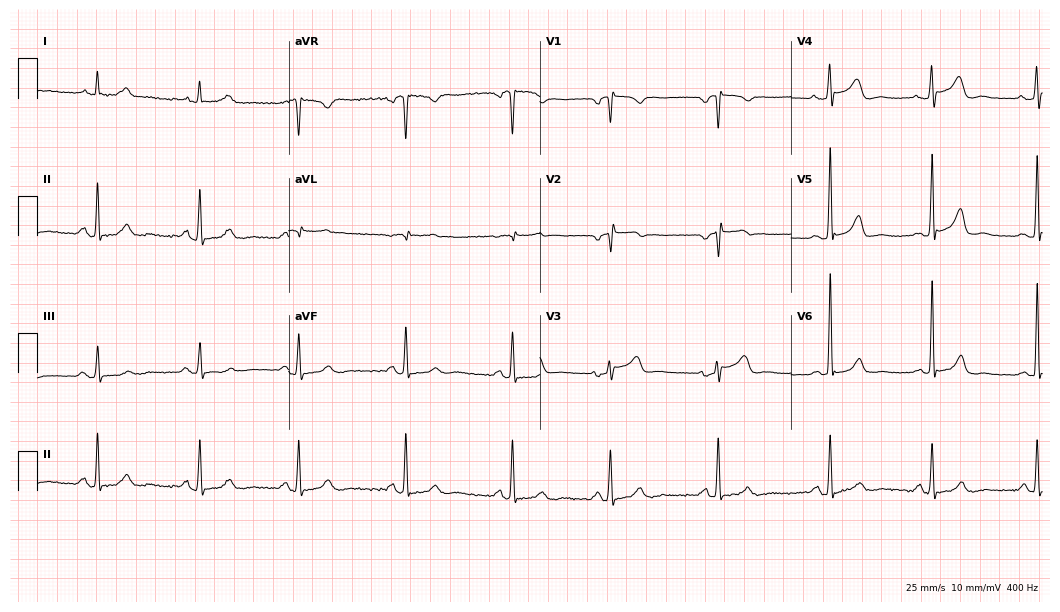
12-lead ECG from a 61-year-old female patient. Labelled as a normal ECG.